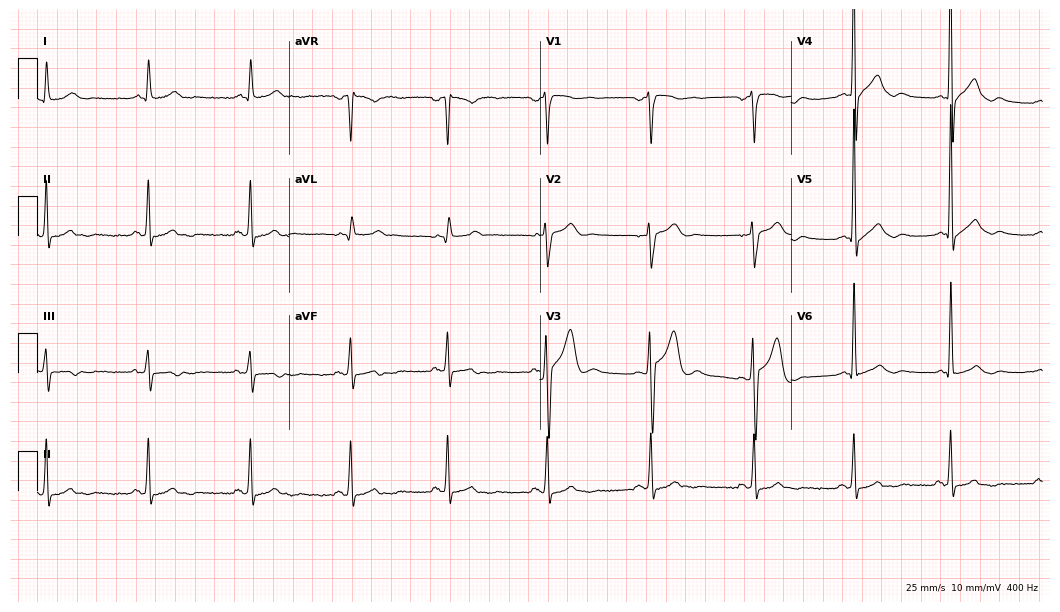
Electrocardiogram, a male, 49 years old. Of the six screened findings (first-degree AV block, right bundle branch block (RBBB), left bundle branch block (LBBB), sinus bradycardia, atrial fibrillation (AF), sinus tachycardia), none is recorded. Findings outside these six are not listed.